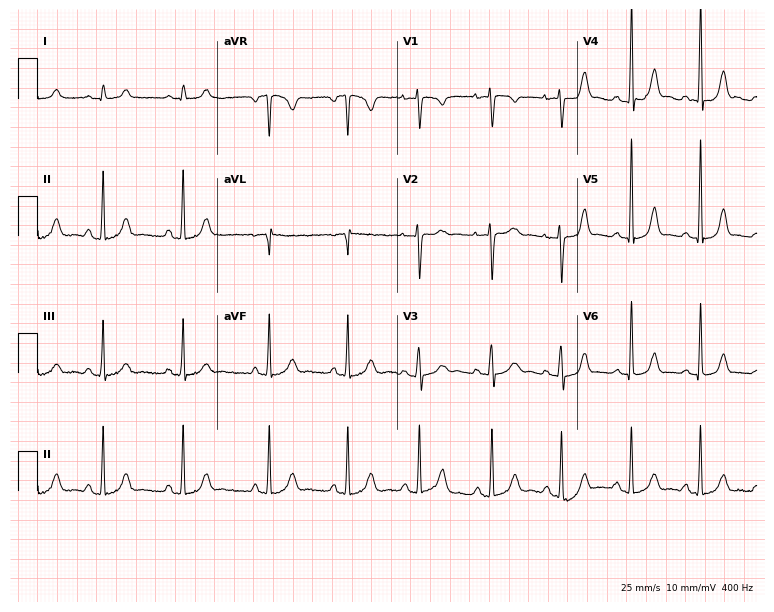
12-lead ECG from a woman, 20 years old (7.3-second recording at 400 Hz). Recorded interpretation: within normal limits.